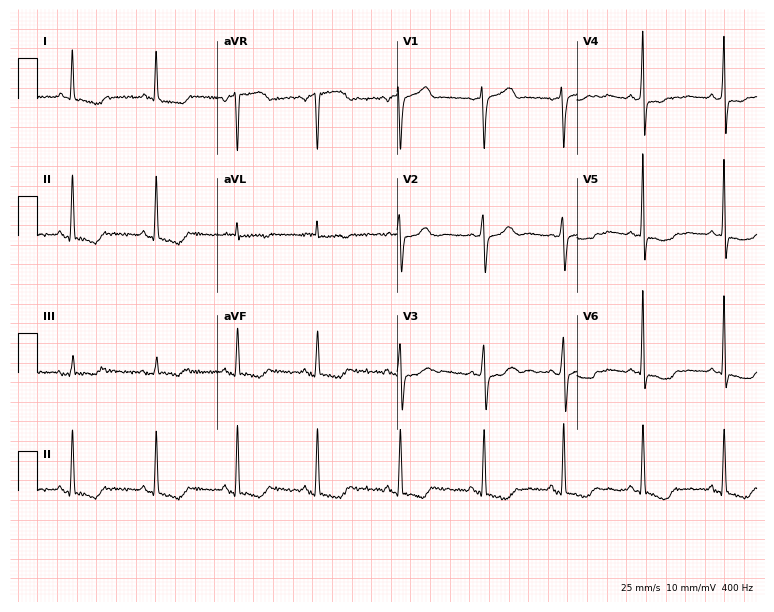
12-lead ECG from a female patient, 61 years old (7.3-second recording at 400 Hz). No first-degree AV block, right bundle branch block, left bundle branch block, sinus bradycardia, atrial fibrillation or sinus tachycardia recorded for this tracing. Findings outside these six are not listed.